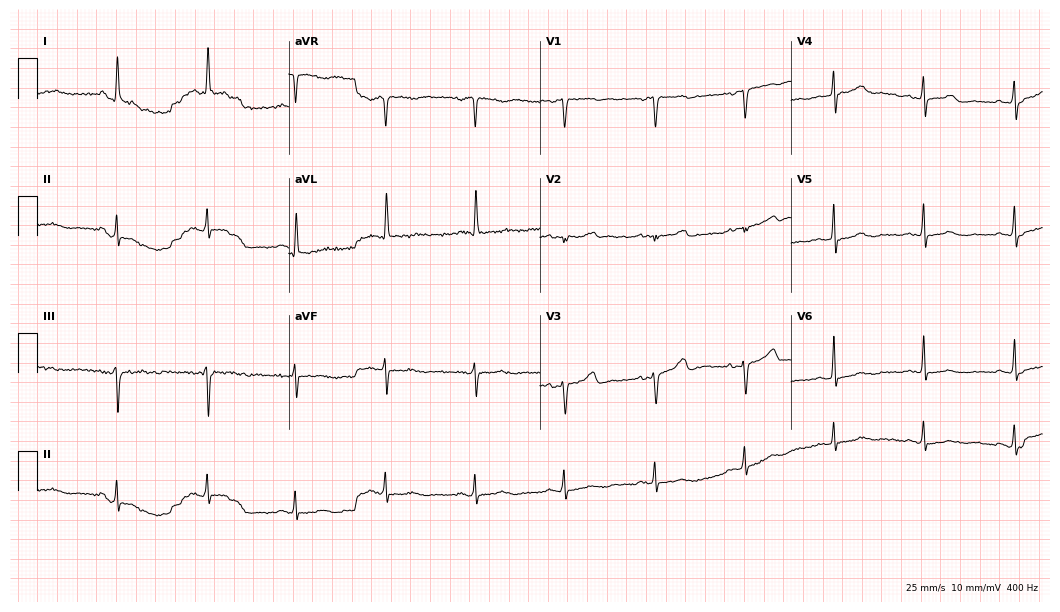
12-lead ECG (10.2-second recording at 400 Hz) from a 70-year-old female. Screened for six findings — first-degree AV block, right bundle branch block, left bundle branch block, sinus bradycardia, atrial fibrillation, sinus tachycardia — none is recorded. Other findings, if any, are not listed.